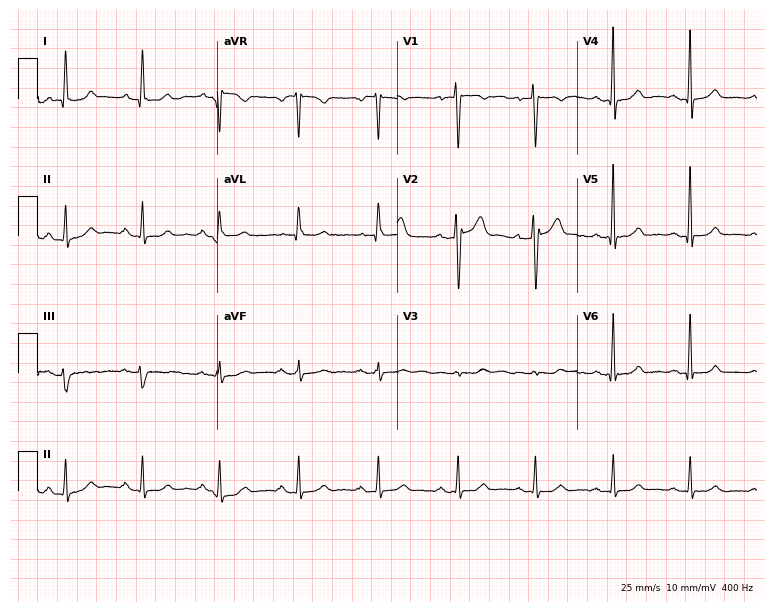
Resting 12-lead electrocardiogram. Patient: a 45-year-old man. Read as a normal ECG.